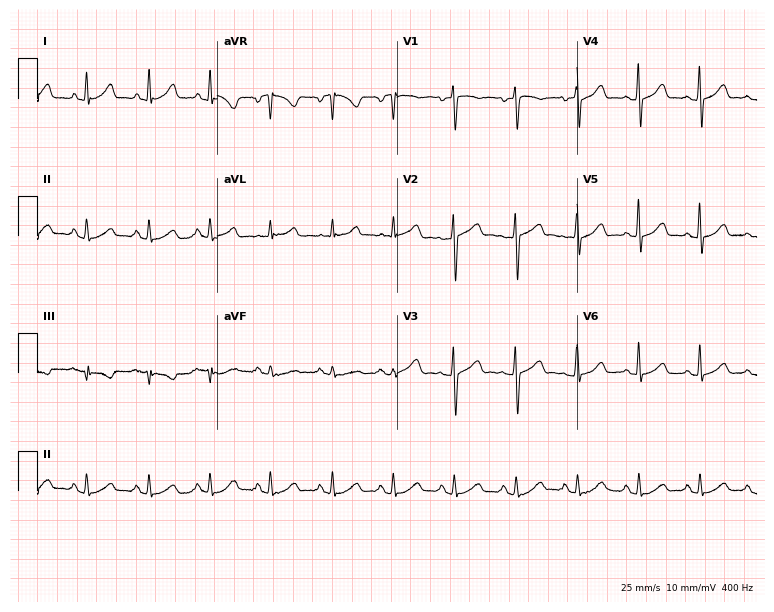
Electrocardiogram, a 44-year-old female. Overall reading on record: normal ECG.